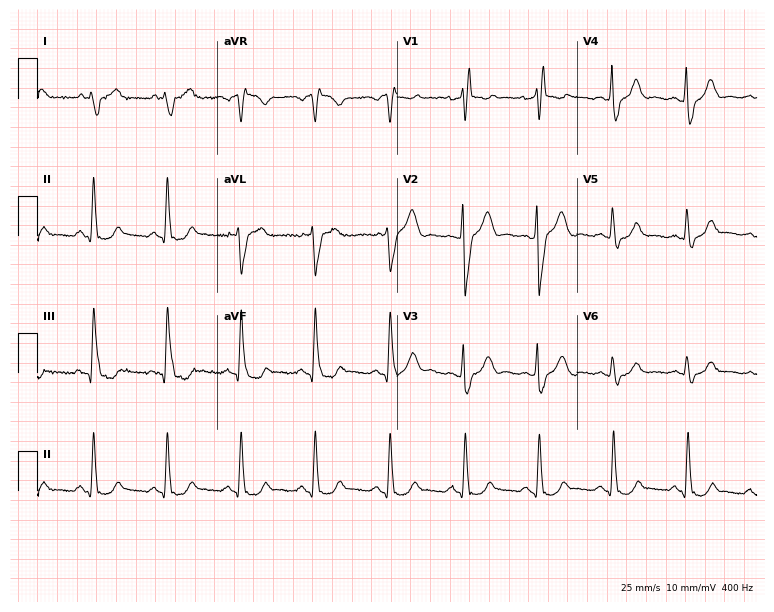
12-lead ECG from a male patient, 70 years old. Shows right bundle branch block.